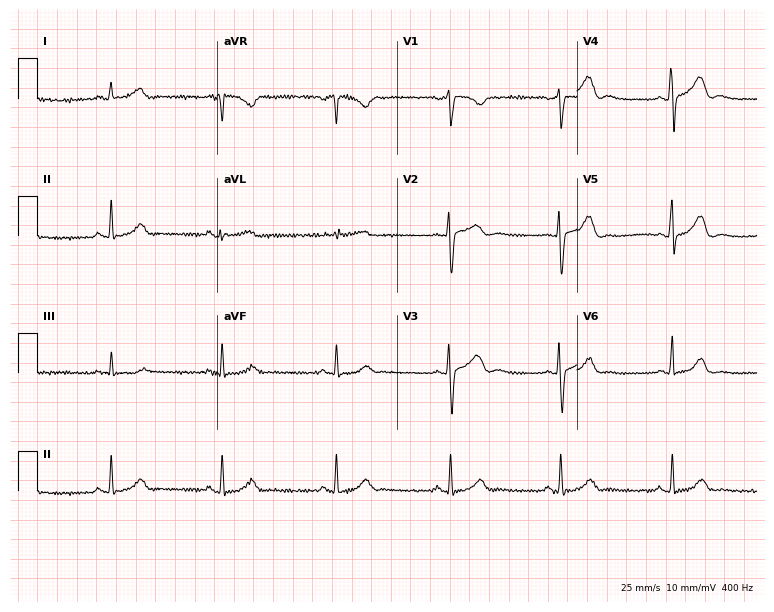
Electrocardiogram (7.3-second recording at 400 Hz), a 39-year-old woman. Of the six screened findings (first-degree AV block, right bundle branch block, left bundle branch block, sinus bradycardia, atrial fibrillation, sinus tachycardia), none is recorded.